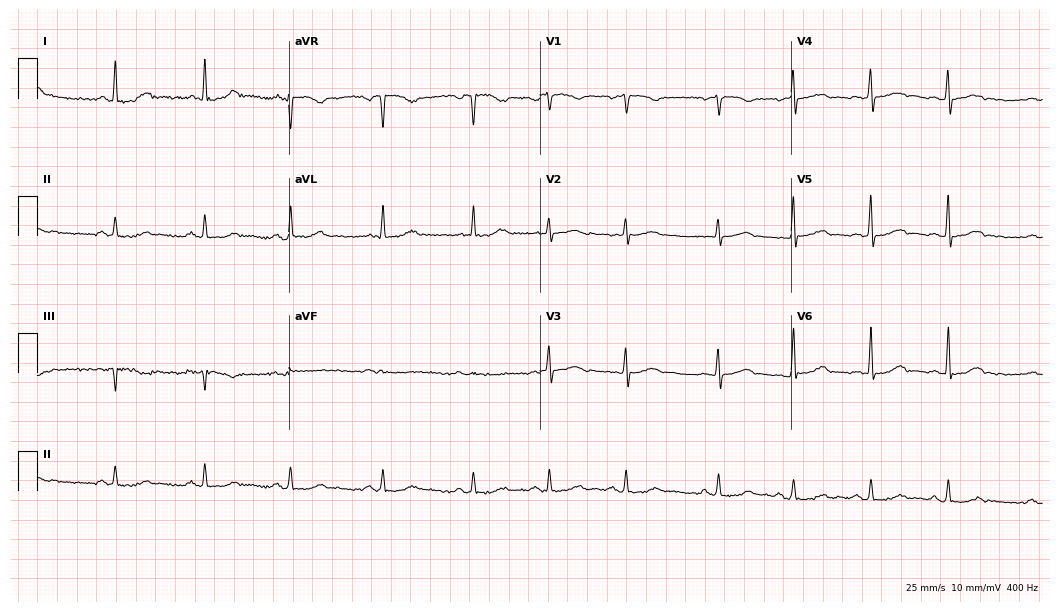
Resting 12-lead electrocardiogram (10.2-second recording at 400 Hz). Patient: a 53-year-old woman. Read as a normal ECG.